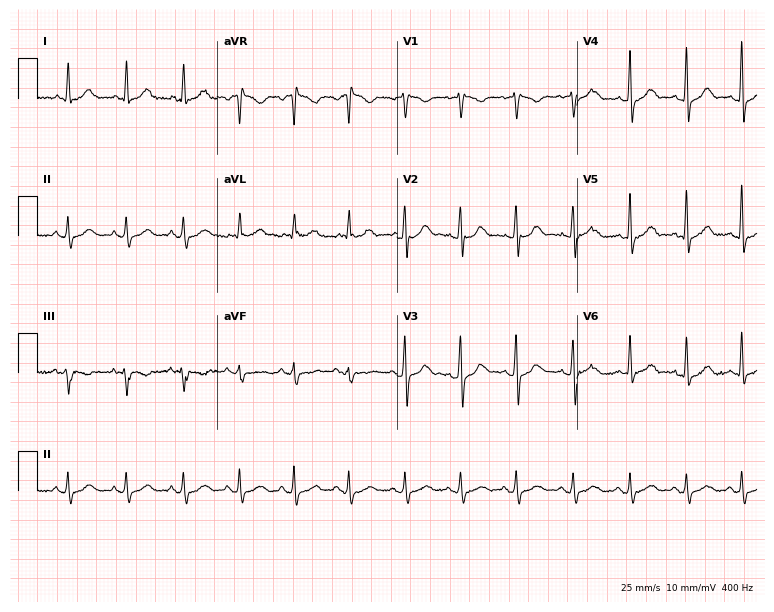
12-lead ECG (7.3-second recording at 400 Hz) from a 37-year-old female patient. Findings include sinus tachycardia (a sinus rate of 100 beats per minute or more).